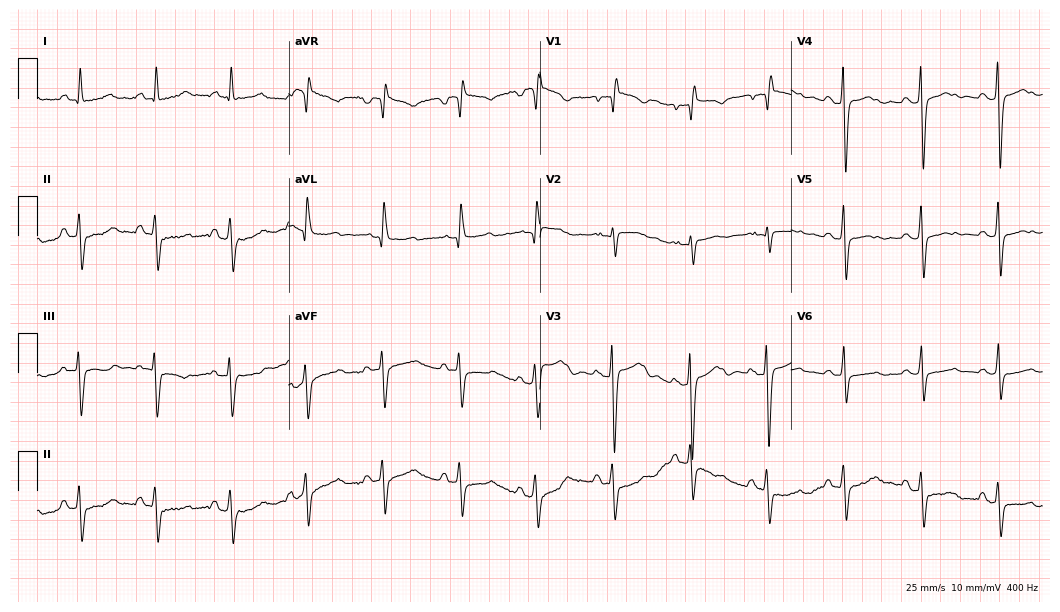
ECG (10.2-second recording at 400 Hz) — a 27-year-old woman. Screened for six findings — first-degree AV block, right bundle branch block, left bundle branch block, sinus bradycardia, atrial fibrillation, sinus tachycardia — none is recorded.